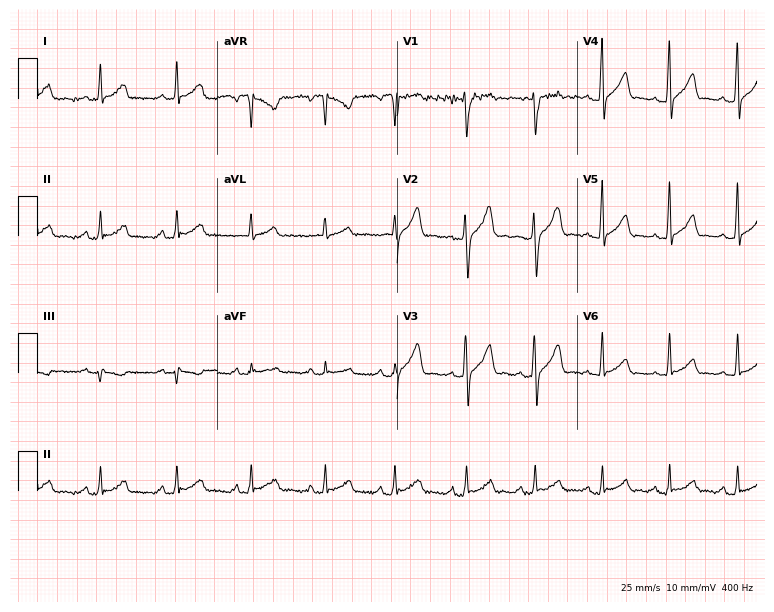
12-lead ECG from a 42-year-old male. Labelled as a normal ECG.